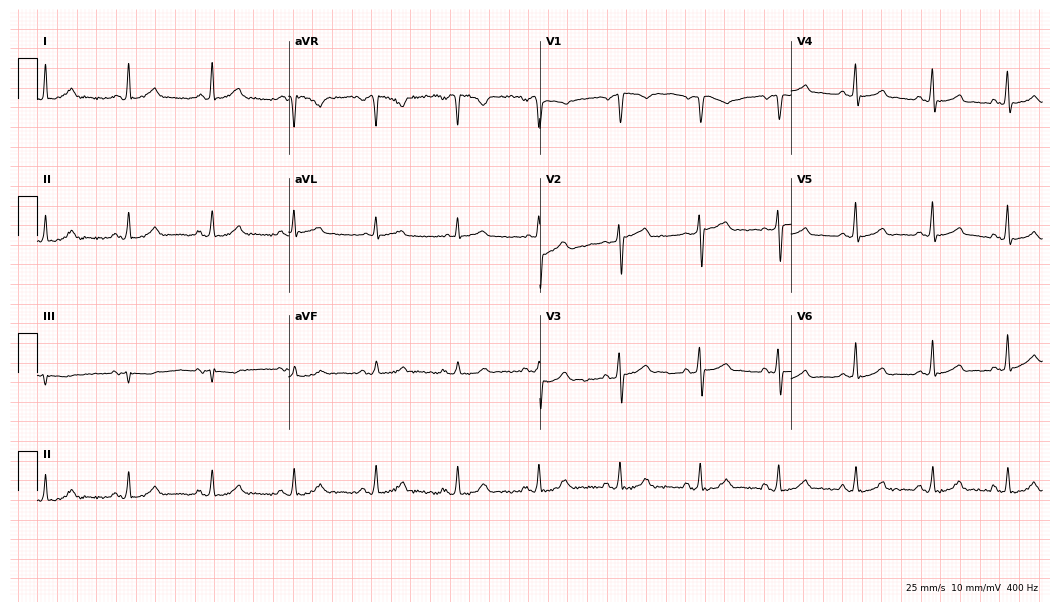
12-lead ECG from a male, 56 years old. No first-degree AV block, right bundle branch block, left bundle branch block, sinus bradycardia, atrial fibrillation or sinus tachycardia recorded for this tracing.